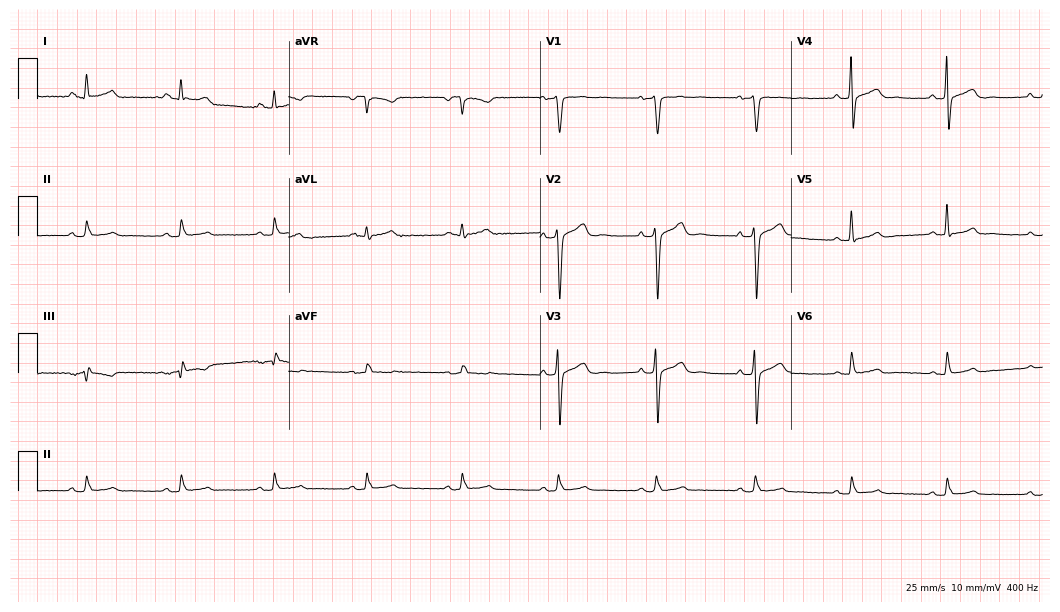
Standard 12-lead ECG recorded from a man, 57 years old. None of these six findings is recorded: first-degree AV block, right bundle branch block, left bundle branch block, sinus bradycardia, atrial fibrillation, sinus tachycardia. Findings outside these six are not listed.